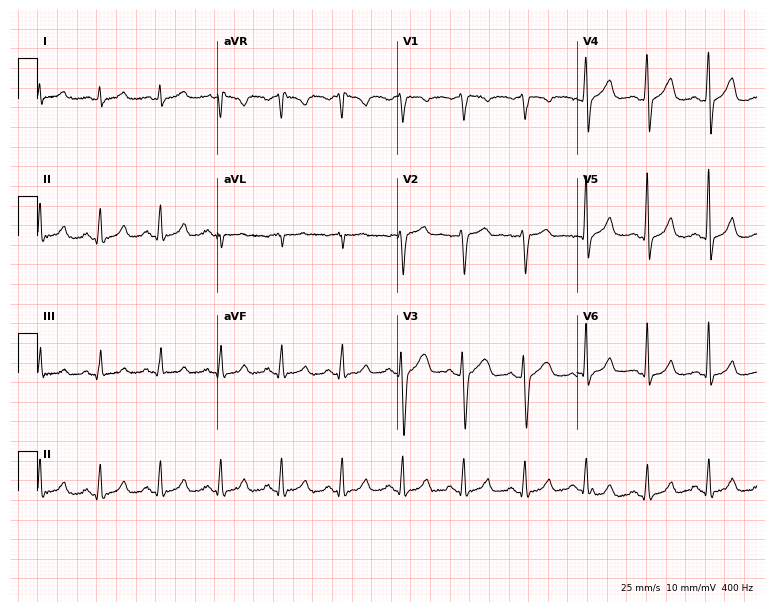
Electrocardiogram (7.3-second recording at 400 Hz), a 49-year-old man. Of the six screened findings (first-degree AV block, right bundle branch block (RBBB), left bundle branch block (LBBB), sinus bradycardia, atrial fibrillation (AF), sinus tachycardia), none is recorded. Findings outside these six are not listed.